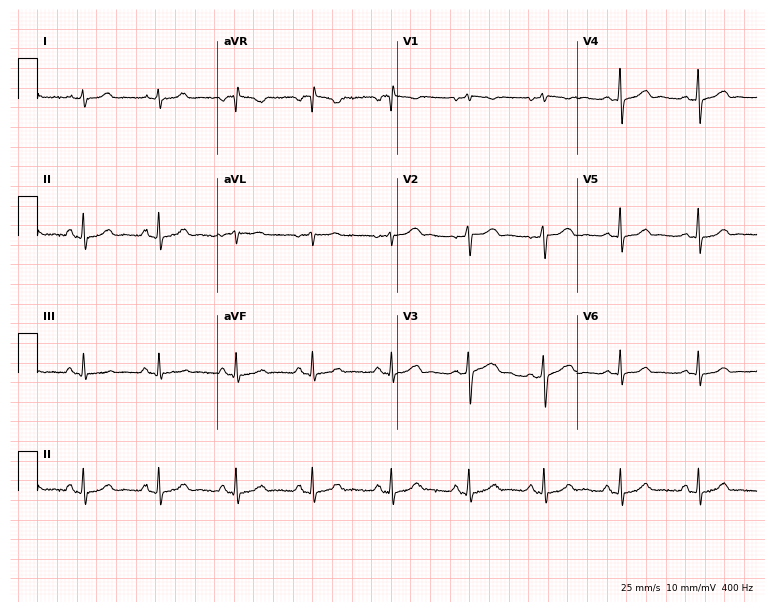
12-lead ECG from a 40-year-old female patient. Screened for six findings — first-degree AV block, right bundle branch block, left bundle branch block, sinus bradycardia, atrial fibrillation, sinus tachycardia — none is recorded.